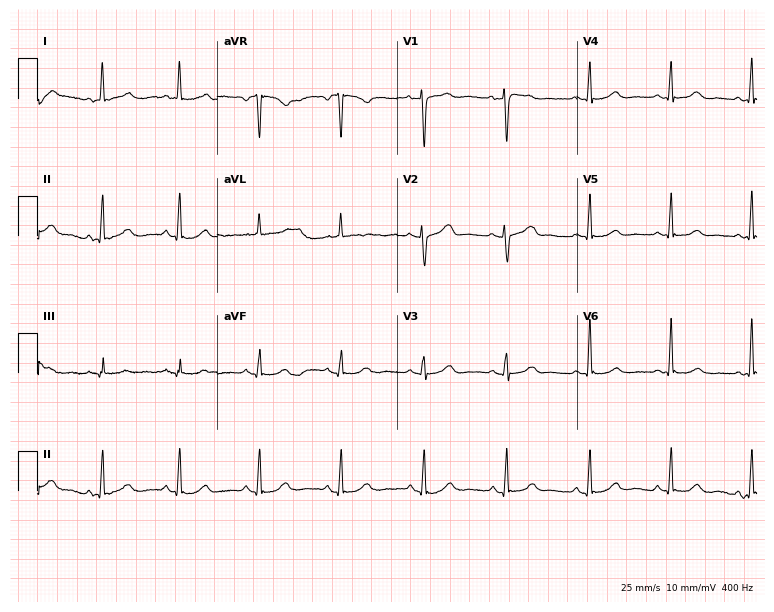
Resting 12-lead electrocardiogram. Patient: a 62-year-old female. Read as a normal ECG.